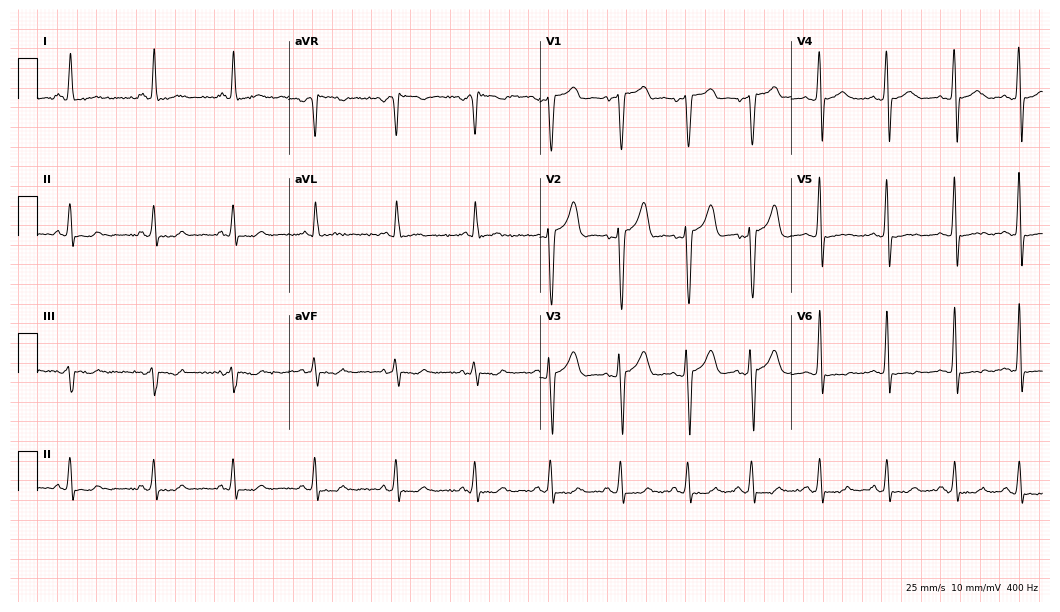
Electrocardiogram, a 59-year-old woman. Of the six screened findings (first-degree AV block, right bundle branch block (RBBB), left bundle branch block (LBBB), sinus bradycardia, atrial fibrillation (AF), sinus tachycardia), none is recorded.